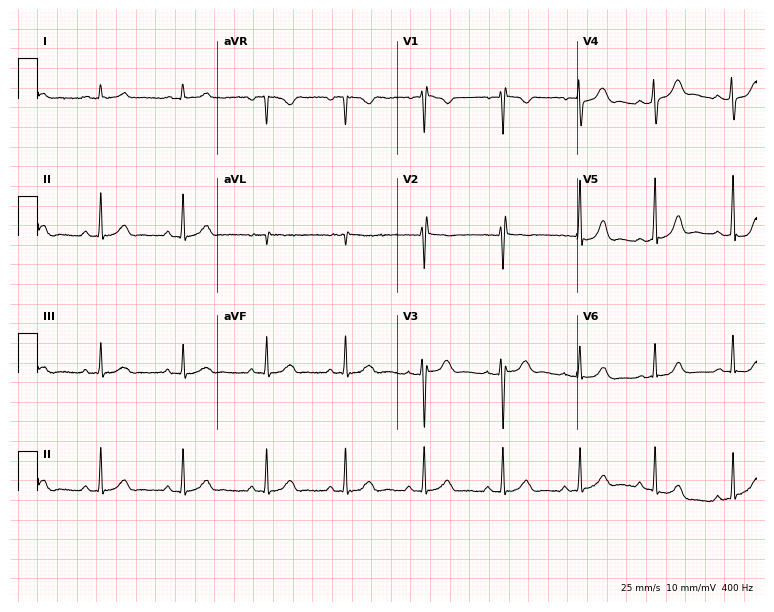
ECG (7.3-second recording at 400 Hz) — a 27-year-old female. Screened for six findings — first-degree AV block, right bundle branch block, left bundle branch block, sinus bradycardia, atrial fibrillation, sinus tachycardia — none is recorded.